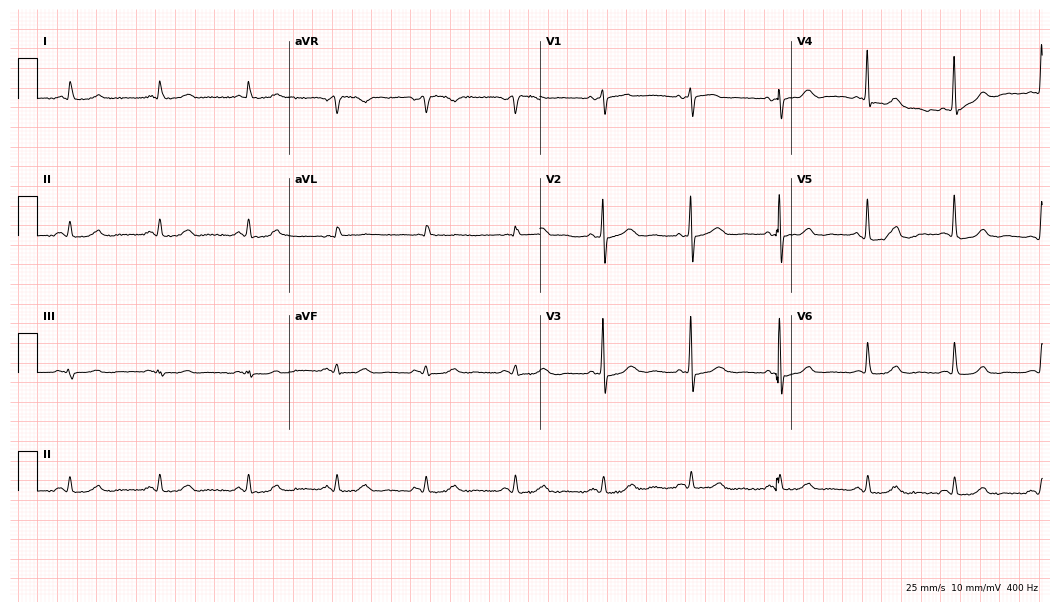
Electrocardiogram (10.2-second recording at 400 Hz), a 76-year-old female patient. Of the six screened findings (first-degree AV block, right bundle branch block, left bundle branch block, sinus bradycardia, atrial fibrillation, sinus tachycardia), none is recorded. Other findings, if any, are not listed.